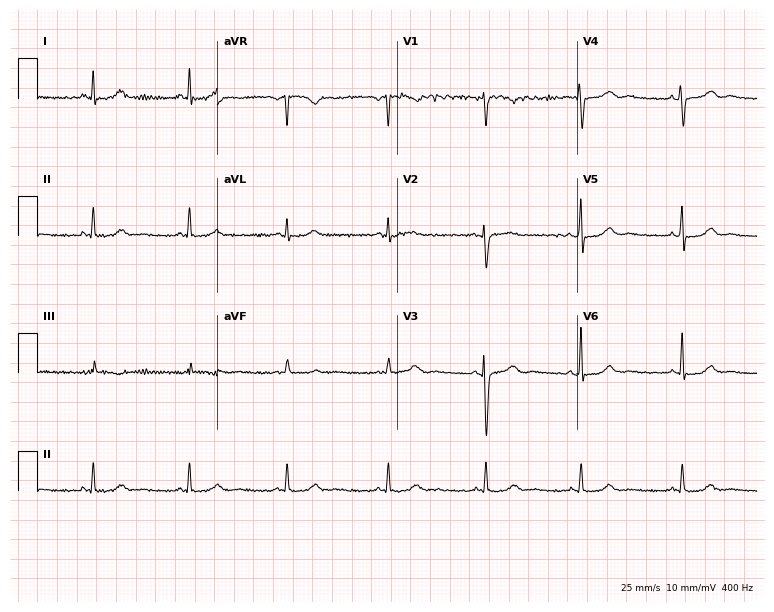
ECG (7.3-second recording at 400 Hz) — a 41-year-old female patient. Screened for six findings — first-degree AV block, right bundle branch block (RBBB), left bundle branch block (LBBB), sinus bradycardia, atrial fibrillation (AF), sinus tachycardia — none is recorded.